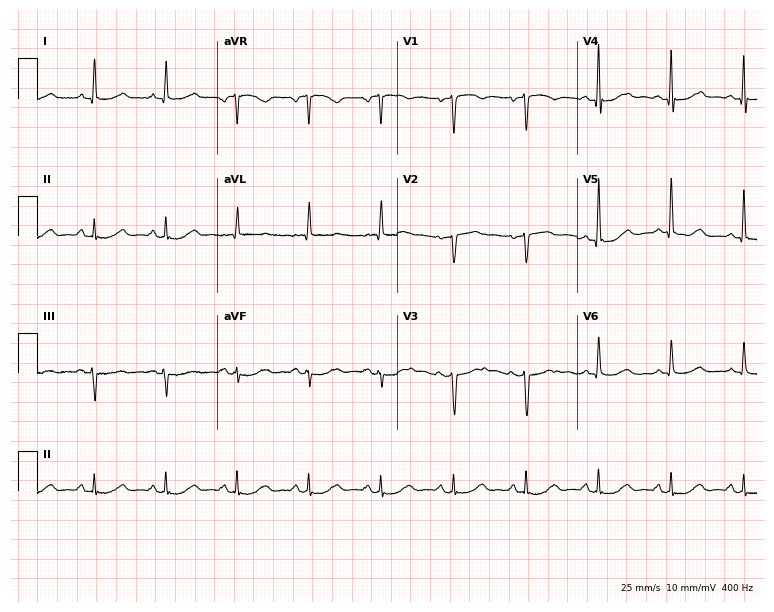
Resting 12-lead electrocardiogram. Patient: a female, 70 years old. Read as a normal ECG.